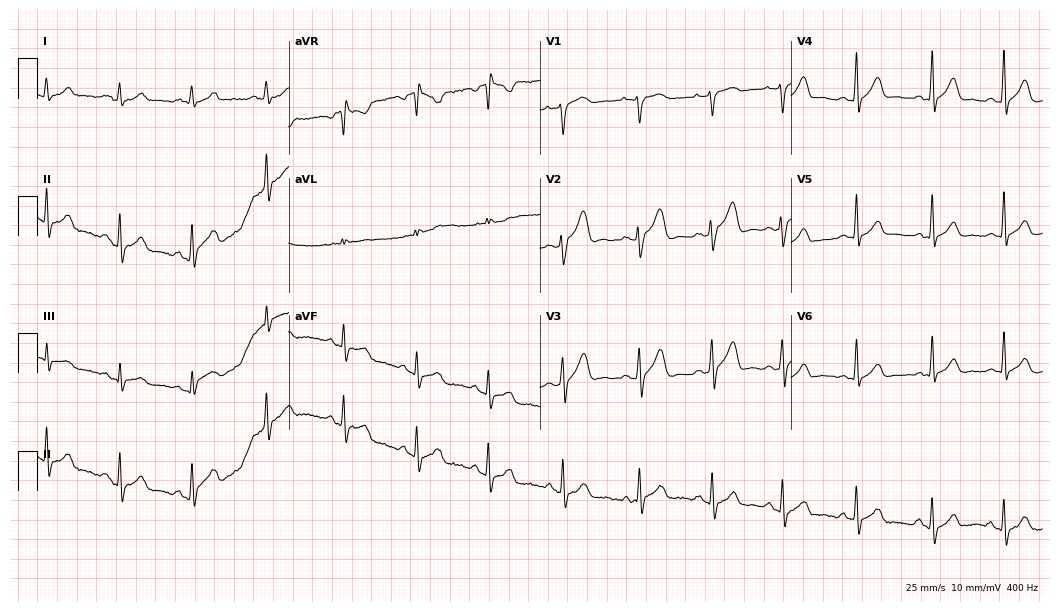
12-lead ECG from a 21-year-old male patient. Labelled as a normal ECG.